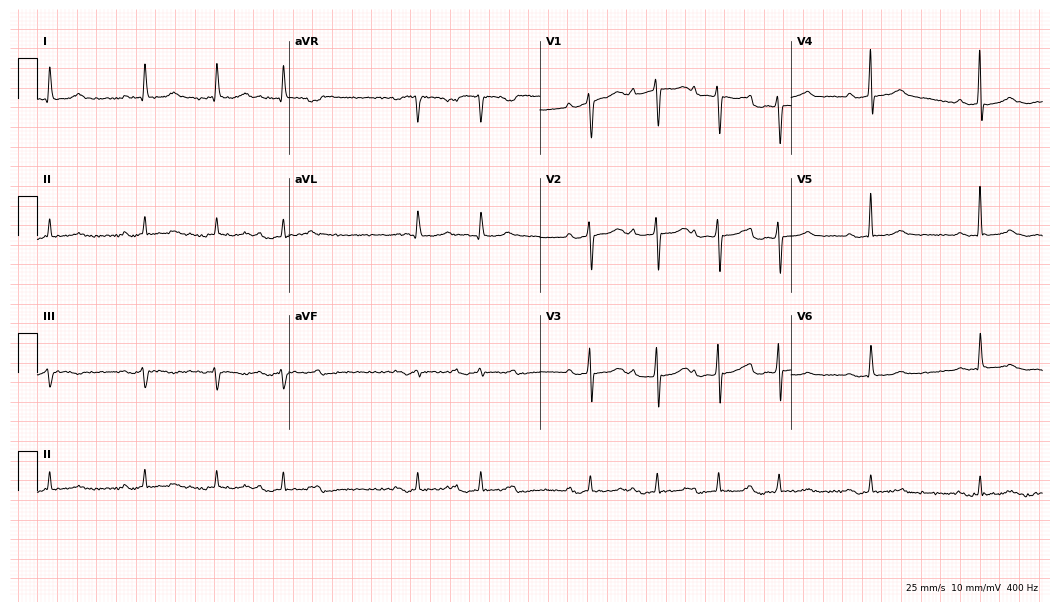
Standard 12-lead ECG recorded from a man, 79 years old (10.2-second recording at 400 Hz). None of these six findings is recorded: first-degree AV block, right bundle branch block, left bundle branch block, sinus bradycardia, atrial fibrillation, sinus tachycardia. Findings outside these six are not listed.